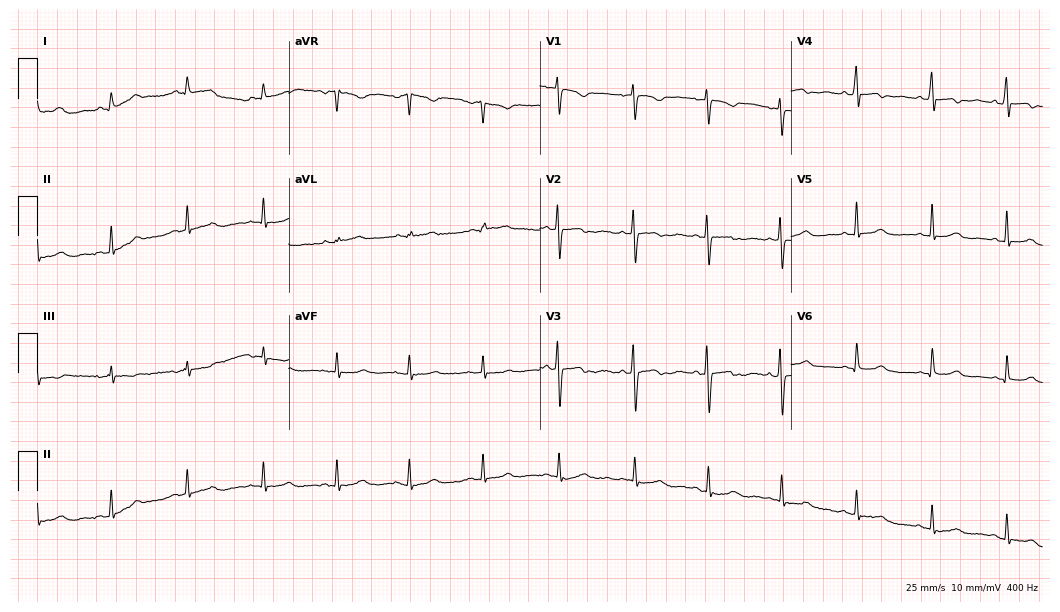
ECG (10.2-second recording at 400 Hz) — a woman, 32 years old. Screened for six findings — first-degree AV block, right bundle branch block (RBBB), left bundle branch block (LBBB), sinus bradycardia, atrial fibrillation (AF), sinus tachycardia — none is recorded. Other findings, if any, are not listed.